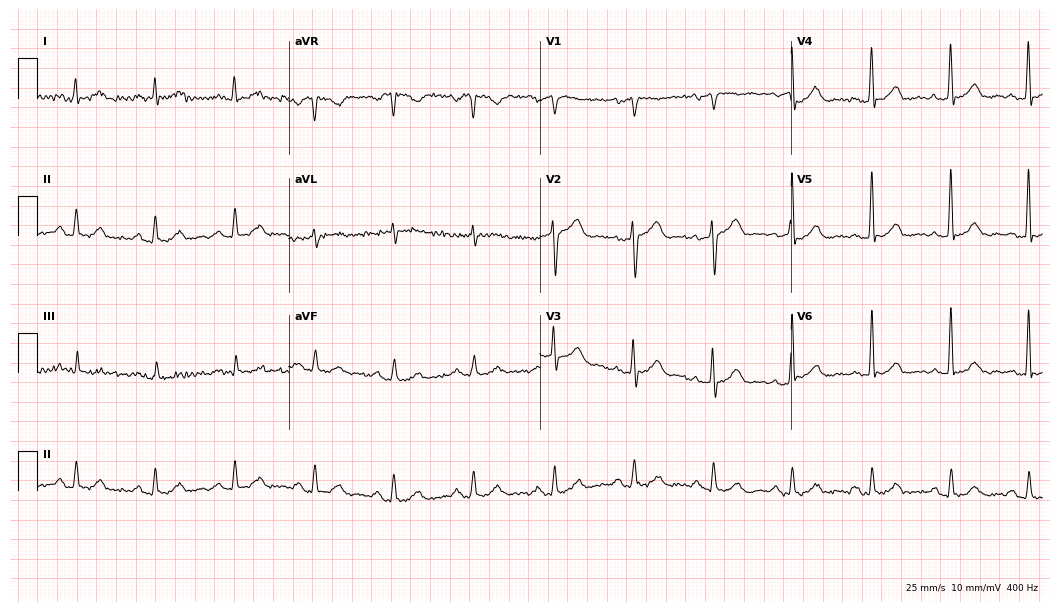
Electrocardiogram, a 58-year-old male. Overall reading on record: normal ECG.